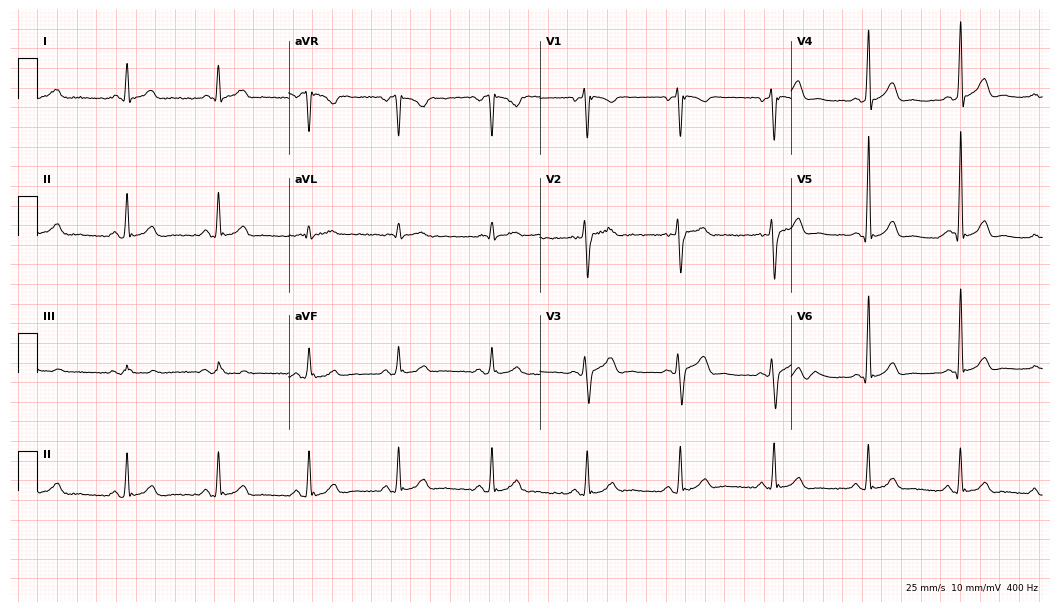
ECG (10.2-second recording at 400 Hz) — a 52-year-old male. Screened for six findings — first-degree AV block, right bundle branch block, left bundle branch block, sinus bradycardia, atrial fibrillation, sinus tachycardia — none is recorded. Other findings, if any, are not listed.